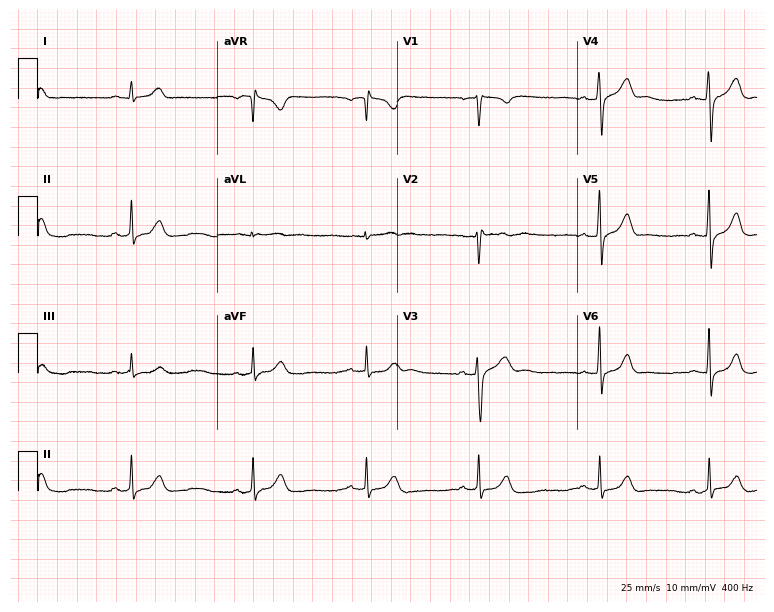
Resting 12-lead electrocardiogram. Patient: a 36-year-old man. Read as a normal ECG.